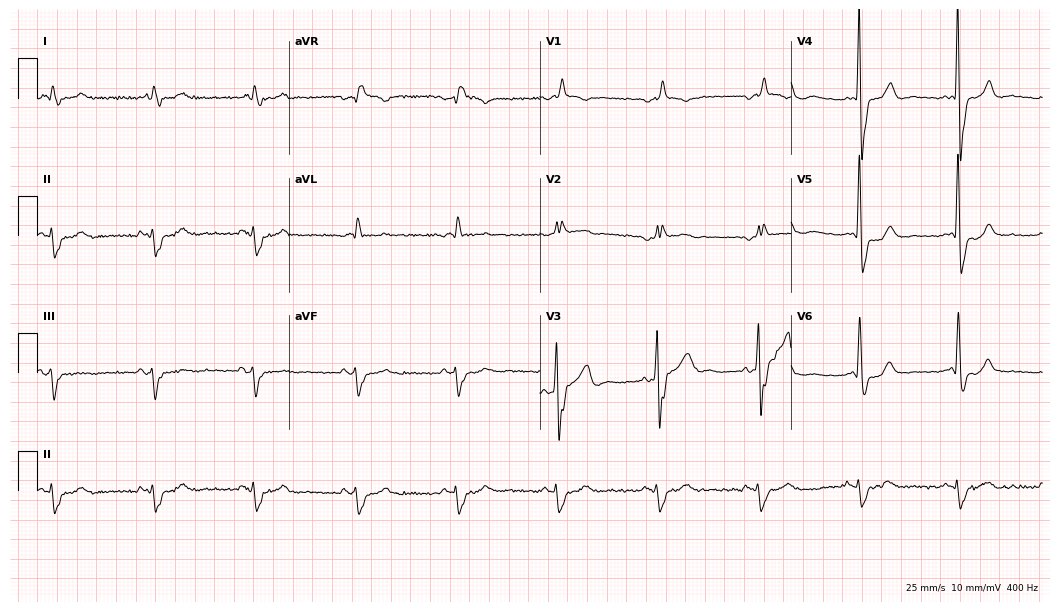
Electrocardiogram, a male, 78 years old. Interpretation includes right bundle branch block (RBBB).